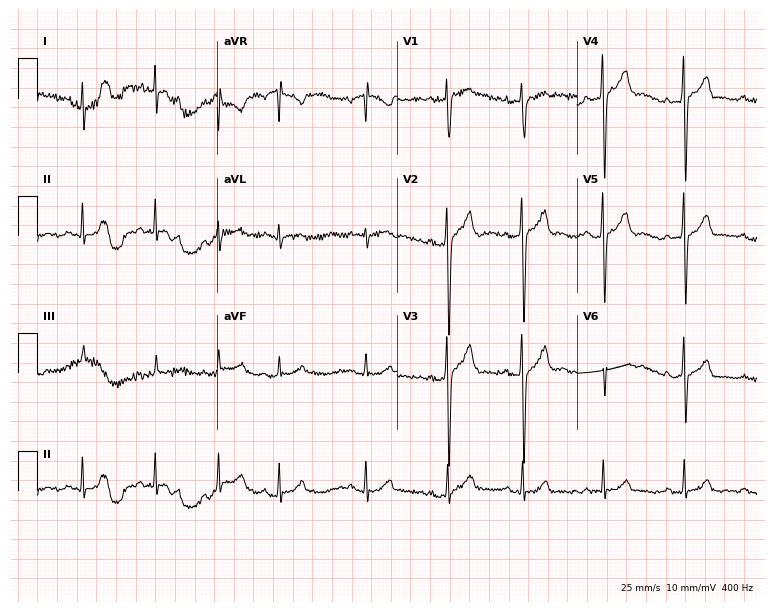
12-lead ECG from a male, 18 years old (7.3-second recording at 400 Hz). No first-degree AV block, right bundle branch block, left bundle branch block, sinus bradycardia, atrial fibrillation or sinus tachycardia recorded for this tracing. Only these six findings were labelled.